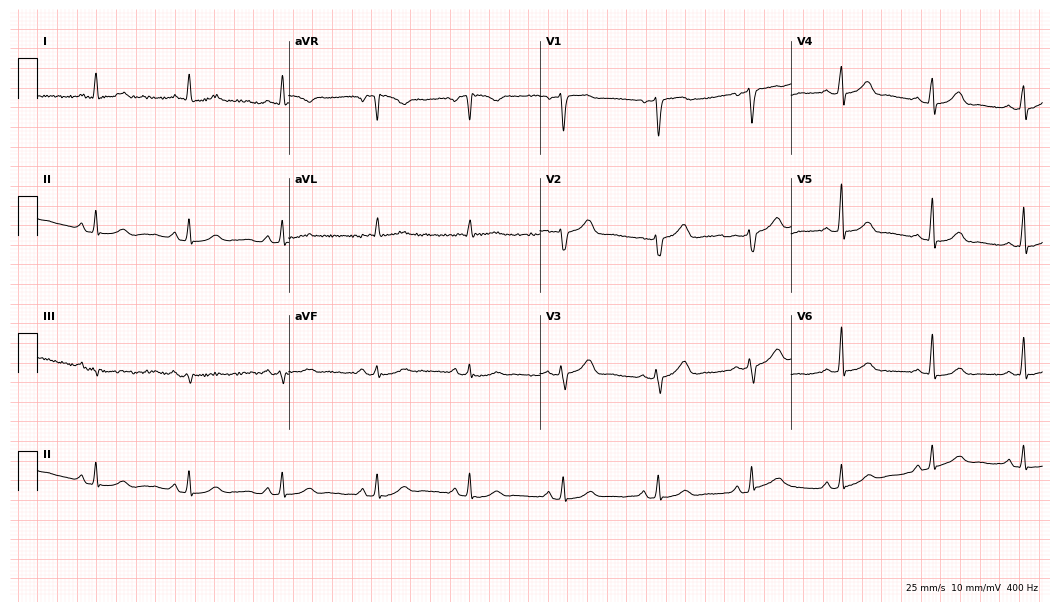
12-lead ECG from a female patient, 62 years old. Recorded interpretation: within normal limits.